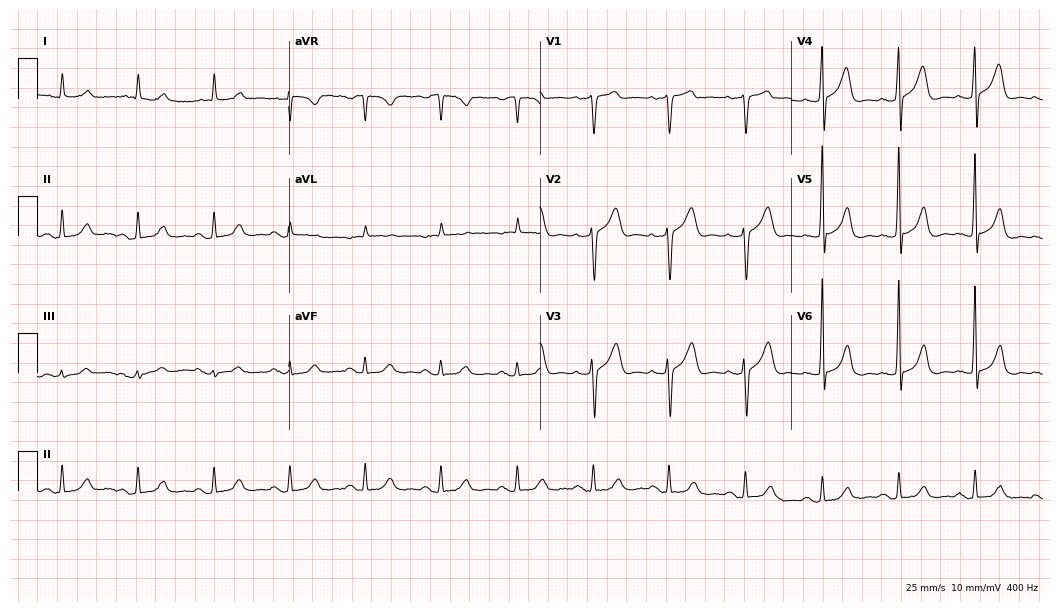
12-lead ECG from a man, 85 years old (10.2-second recording at 400 Hz). No first-degree AV block, right bundle branch block (RBBB), left bundle branch block (LBBB), sinus bradycardia, atrial fibrillation (AF) or sinus tachycardia recorded for this tracing. Findings outside these six are not listed.